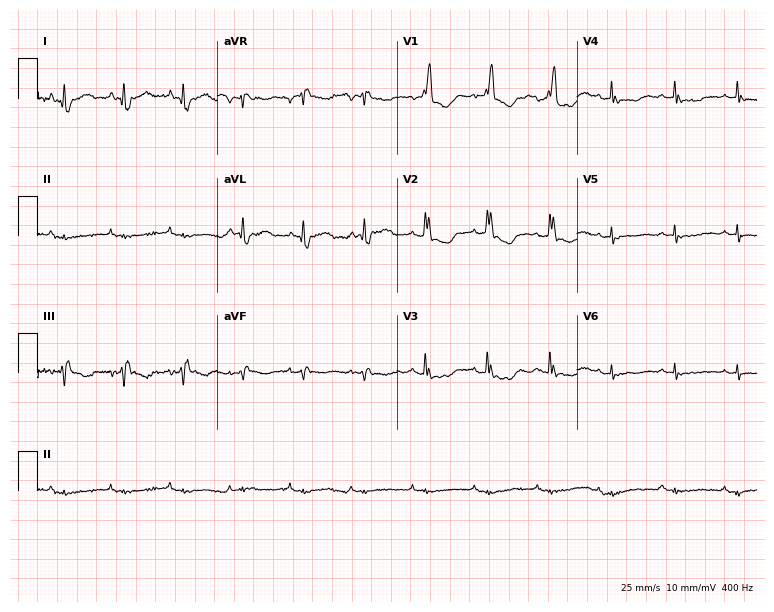
12-lead ECG from an 81-year-old female patient. No first-degree AV block, right bundle branch block, left bundle branch block, sinus bradycardia, atrial fibrillation or sinus tachycardia recorded for this tracing. Only these six findings were labelled.